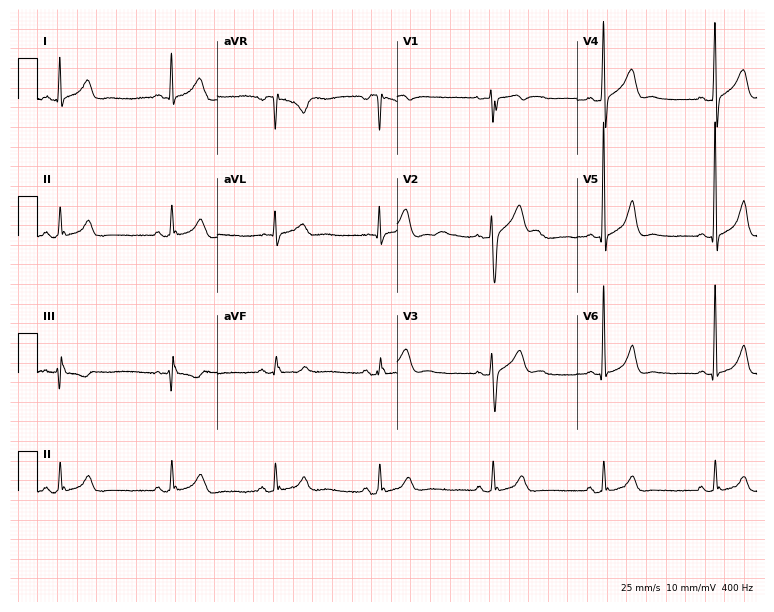
Electrocardiogram, a man, 35 years old. Of the six screened findings (first-degree AV block, right bundle branch block, left bundle branch block, sinus bradycardia, atrial fibrillation, sinus tachycardia), none is recorded.